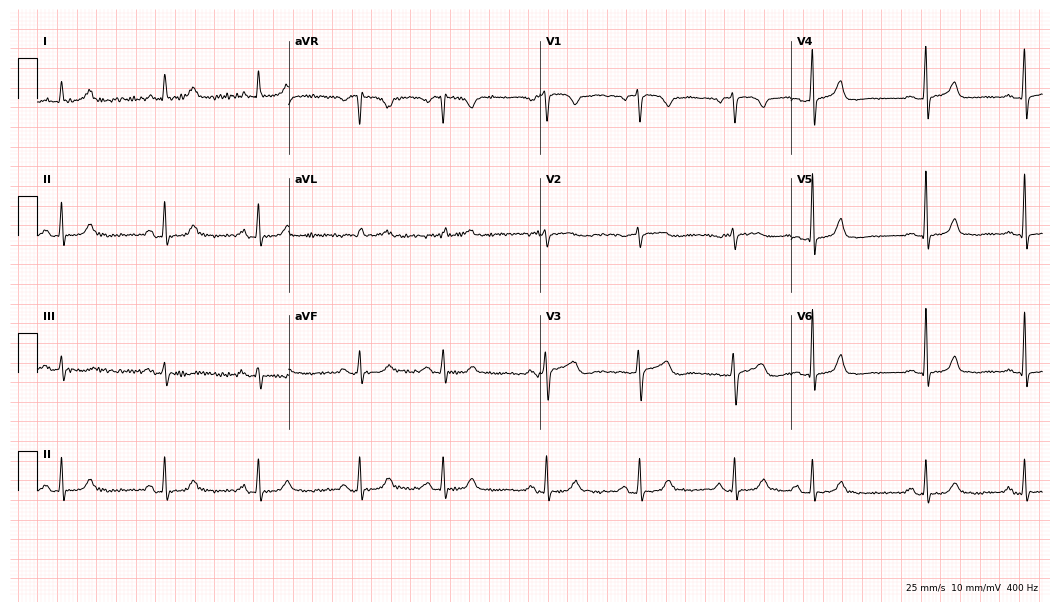
Standard 12-lead ECG recorded from a 62-year-old woman (10.2-second recording at 400 Hz). Read as a normal ECG.